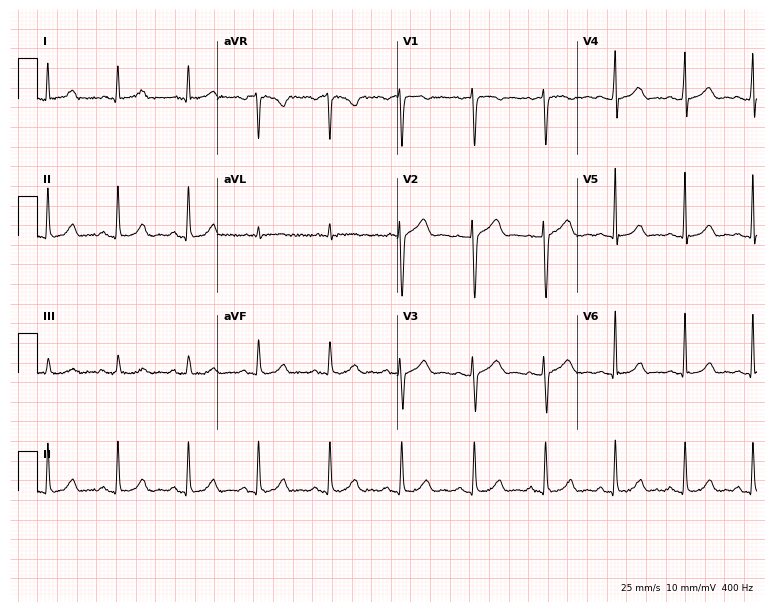
12-lead ECG (7.3-second recording at 400 Hz) from a 26-year-old female. Labelled as a normal ECG.